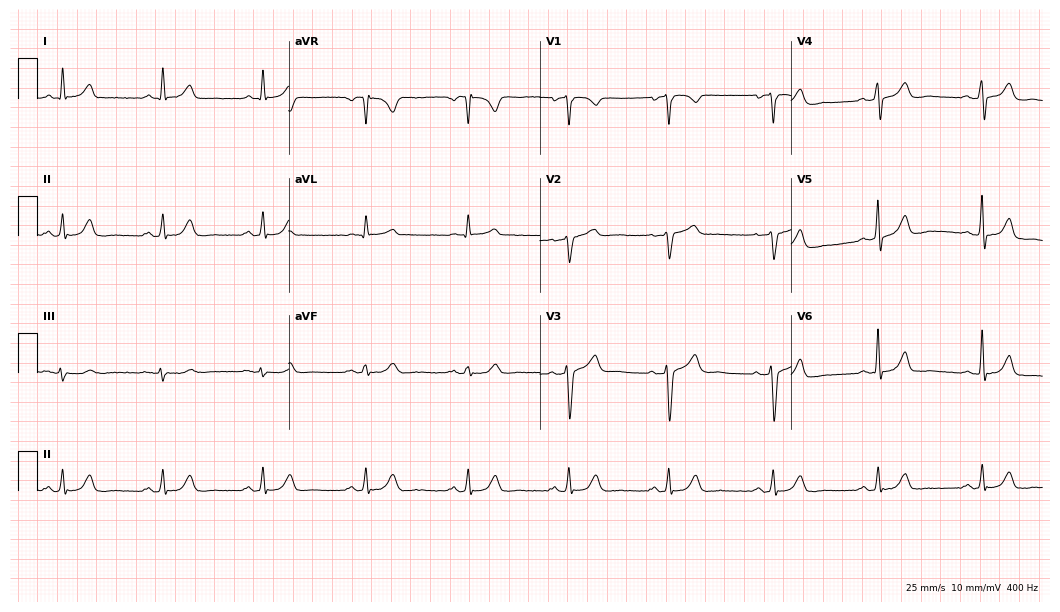
12-lead ECG from a 64-year-old male. Recorded interpretation: within normal limits.